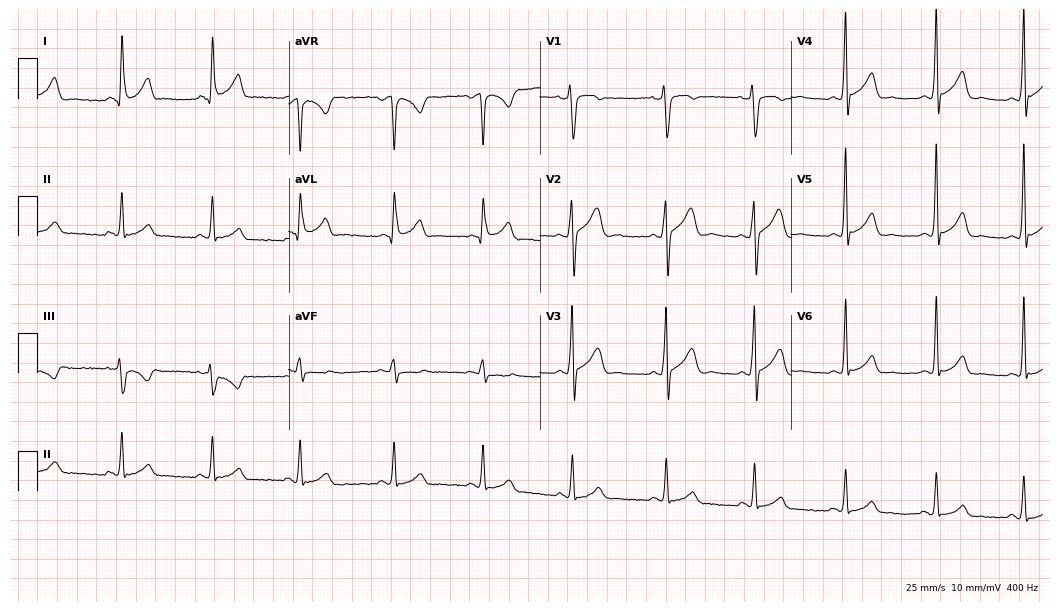
Standard 12-lead ECG recorded from a male, 42 years old. None of these six findings is recorded: first-degree AV block, right bundle branch block, left bundle branch block, sinus bradycardia, atrial fibrillation, sinus tachycardia. Findings outside these six are not listed.